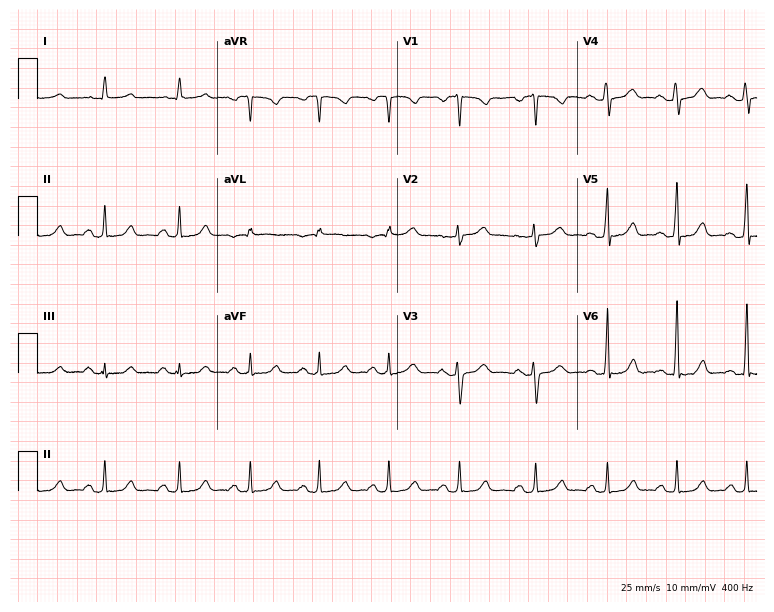
Resting 12-lead electrocardiogram. Patient: a female, 40 years old. Read as a normal ECG.